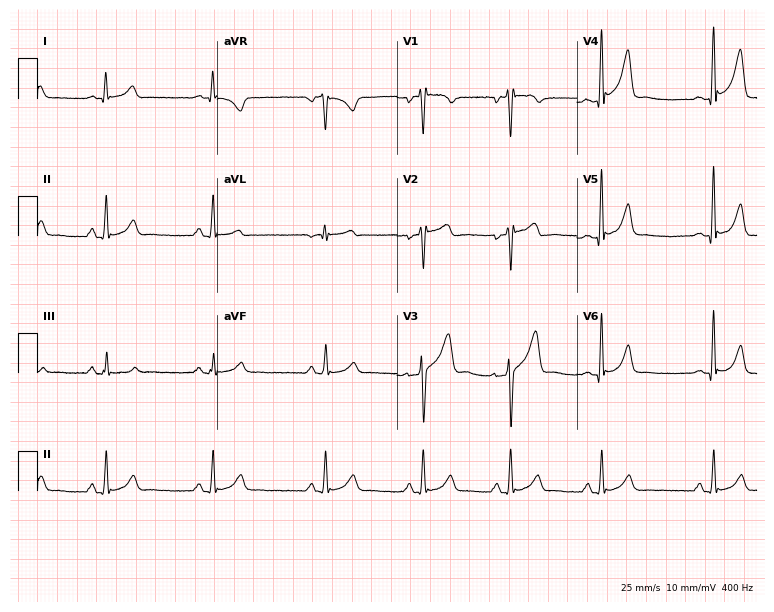
ECG (7.3-second recording at 400 Hz) — a 28-year-old male. Labelled as a normal ECG.